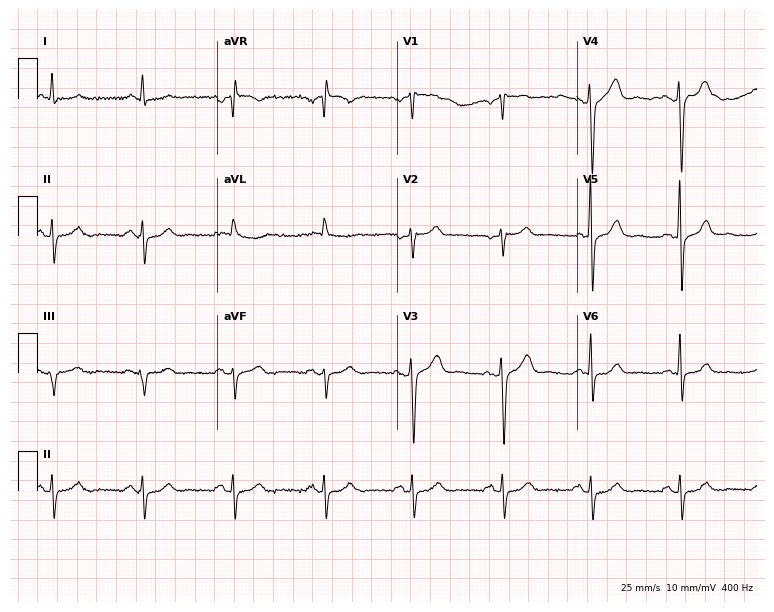
Resting 12-lead electrocardiogram (7.3-second recording at 400 Hz). Patient: a man, 58 years old. None of these six findings is recorded: first-degree AV block, right bundle branch block, left bundle branch block, sinus bradycardia, atrial fibrillation, sinus tachycardia.